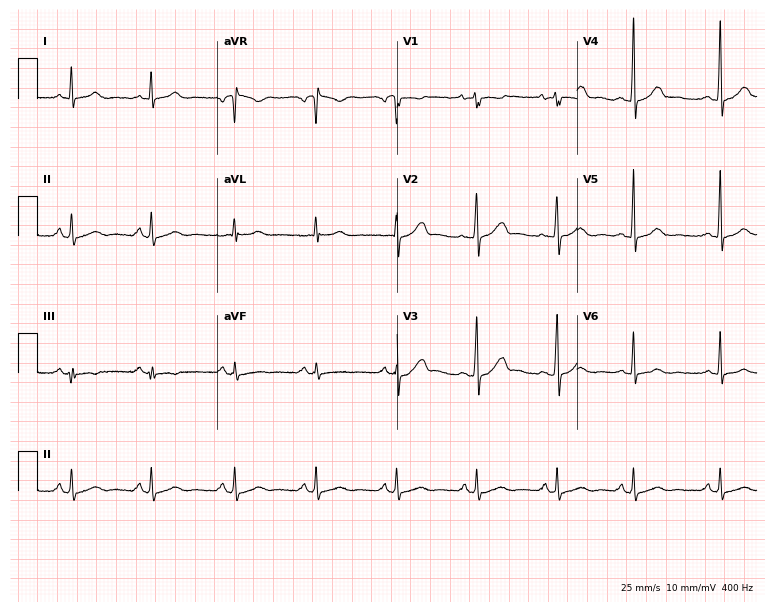
Resting 12-lead electrocardiogram. Patient: a woman, 33 years old. None of these six findings is recorded: first-degree AV block, right bundle branch block, left bundle branch block, sinus bradycardia, atrial fibrillation, sinus tachycardia.